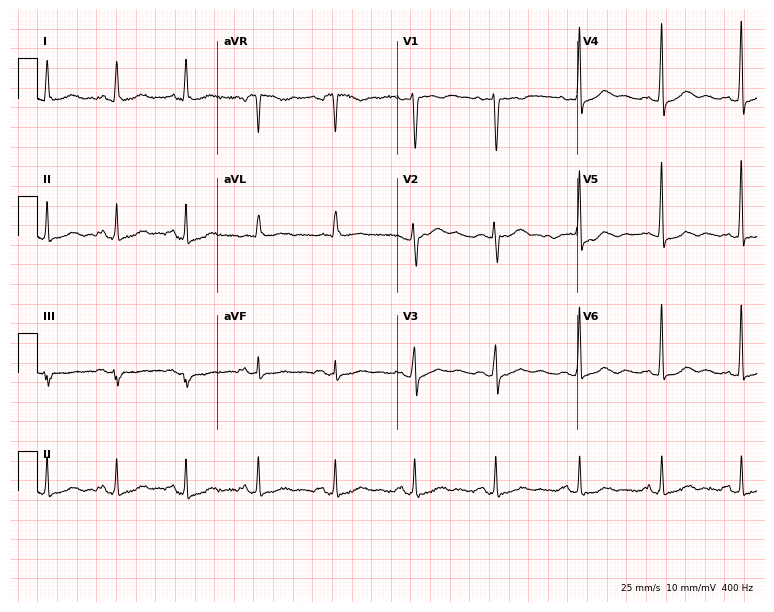
Standard 12-lead ECG recorded from a 44-year-old female patient (7.3-second recording at 400 Hz). None of these six findings is recorded: first-degree AV block, right bundle branch block (RBBB), left bundle branch block (LBBB), sinus bradycardia, atrial fibrillation (AF), sinus tachycardia. Findings outside these six are not listed.